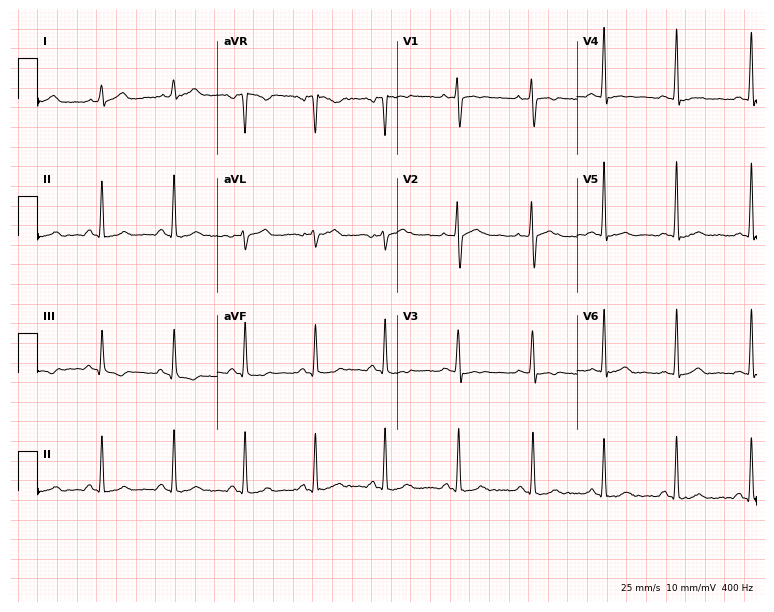
Standard 12-lead ECG recorded from a 24-year-old female patient. None of these six findings is recorded: first-degree AV block, right bundle branch block, left bundle branch block, sinus bradycardia, atrial fibrillation, sinus tachycardia. Only these six findings were labelled.